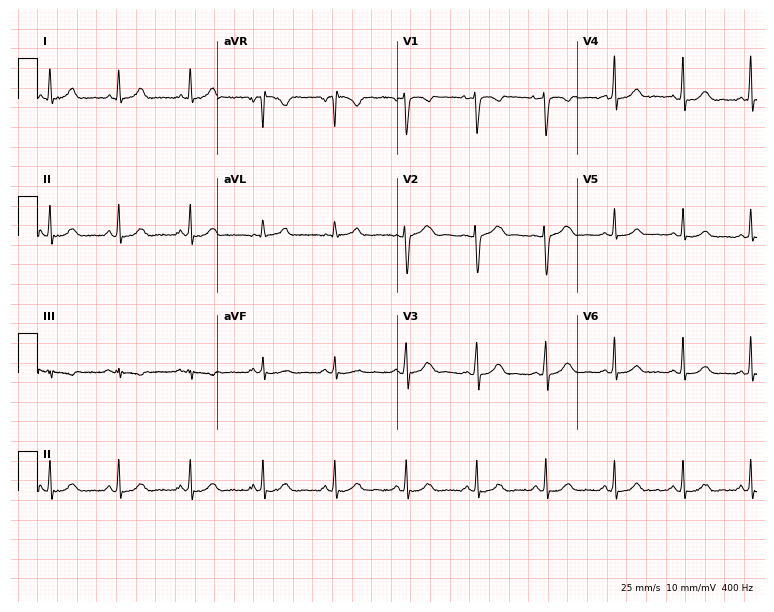
ECG — a female, 40 years old. Labelled as a normal ECG.